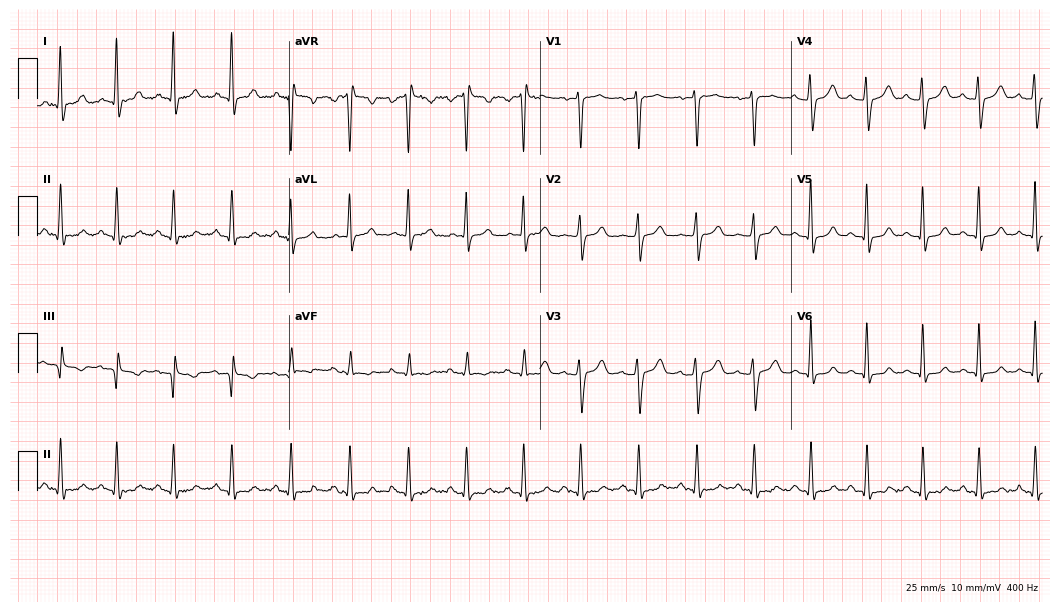
12-lead ECG from a 23-year-old female. Findings include sinus tachycardia (a sinus rate of 100 beats per minute or more).